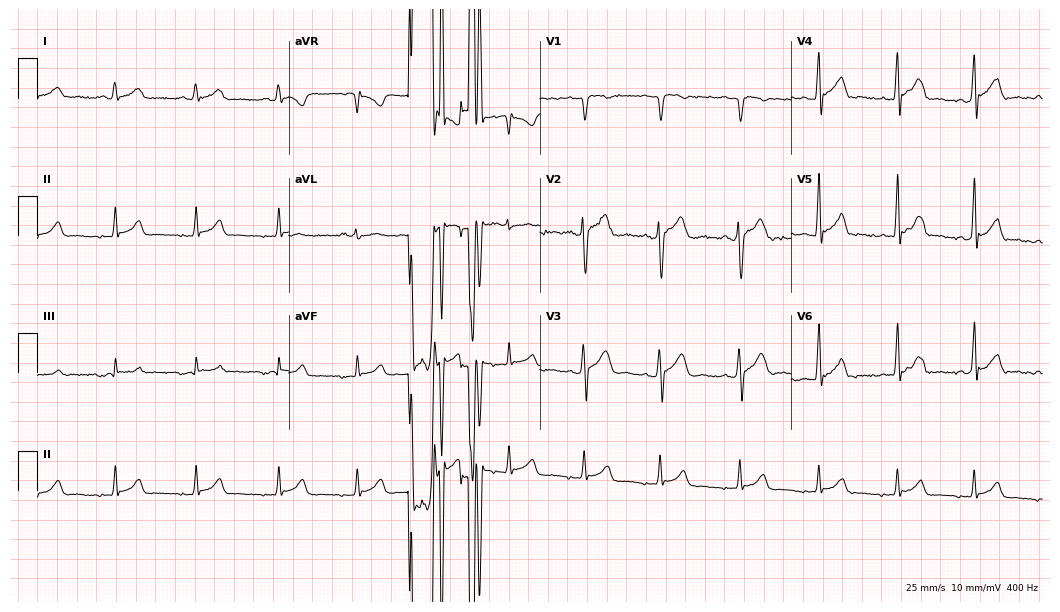
Electrocardiogram, a 23-year-old male patient. Of the six screened findings (first-degree AV block, right bundle branch block (RBBB), left bundle branch block (LBBB), sinus bradycardia, atrial fibrillation (AF), sinus tachycardia), none is recorded. Other findings, if any, are not listed.